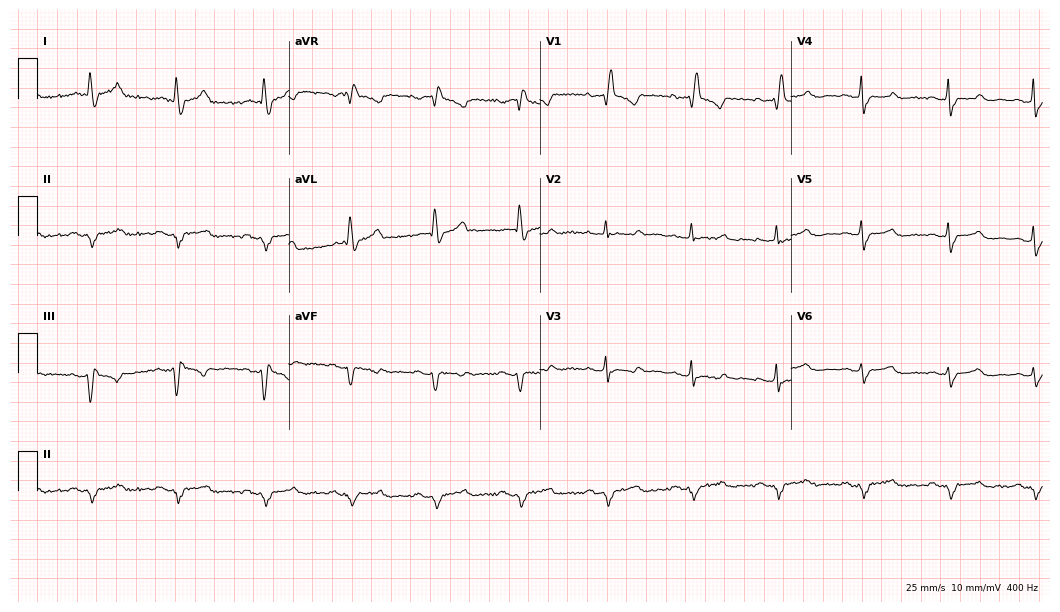
Standard 12-lead ECG recorded from a 68-year-old woman (10.2-second recording at 400 Hz). The tracing shows right bundle branch block.